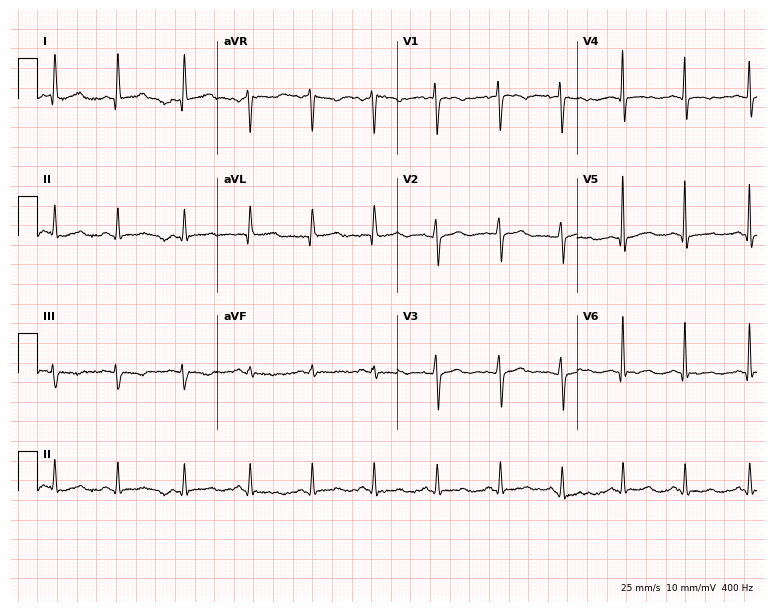
12-lead ECG from a 46-year-old female patient. Labelled as a normal ECG.